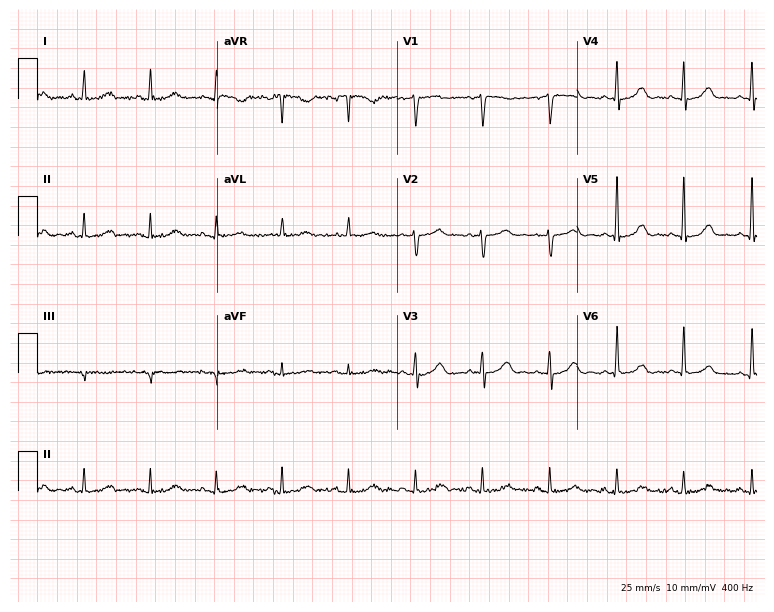
Standard 12-lead ECG recorded from a 71-year-old female patient. None of these six findings is recorded: first-degree AV block, right bundle branch block, left bundle branch block, sinus bradycardia, atrial fibrillation, sinus tachycardia.